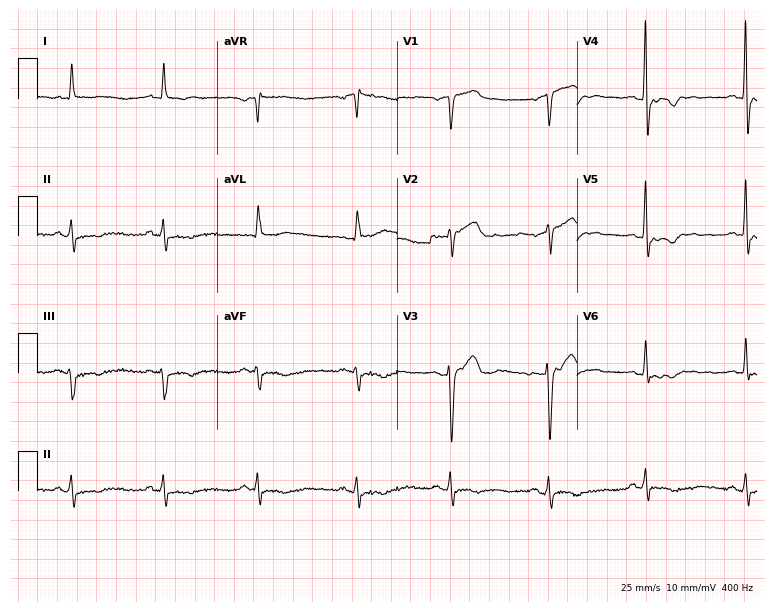
ECG (7.3-second recording at 400 Hz) — a 60-year-old man. Screened for six findings — first-degree AV block, right bundle branch block, left bundle branch block, sinus bradycardia, atrial fibrillation, sinus tachycardia — none is recorded. Findings outside these six are not listed.